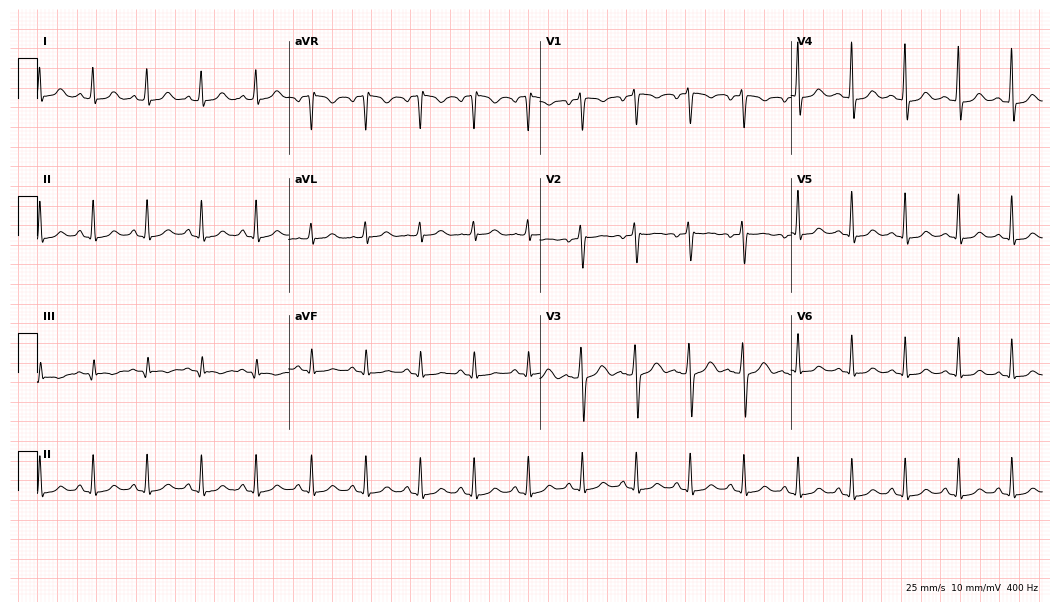
12-lead ECG from a 39-year-old woman. Findings include sinus tachycardia (a sinus rate of 100 beats per minute or more).